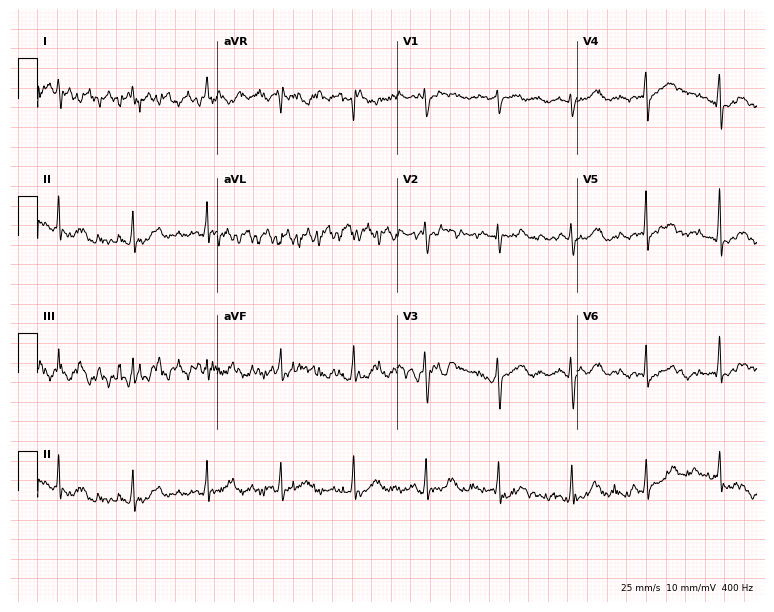
Electrocardiogram (7.3-second recording at 400 Hz), a 63-year-old woman. Of the six screened findings (first-degree AV block, right bundle branch block, left bundle branch block, sinus bradycardia, atrial fibrillation, sinus tachycardia), none is recorded. Other findings, if any, are not listed.